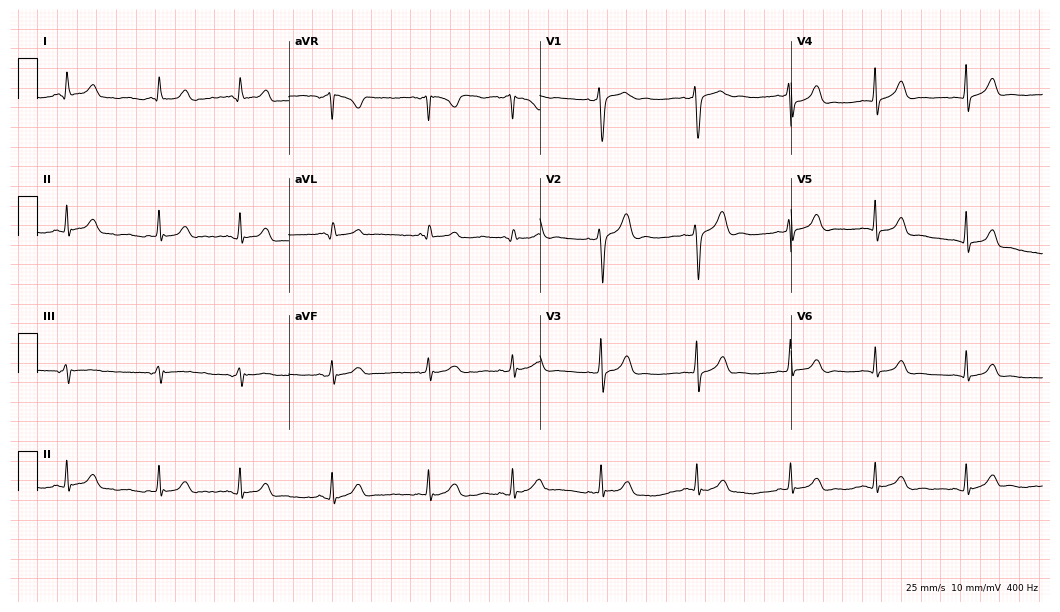
Standard 12-lead ECG recorded from a 33-year-old female. Read as a normal ECG.